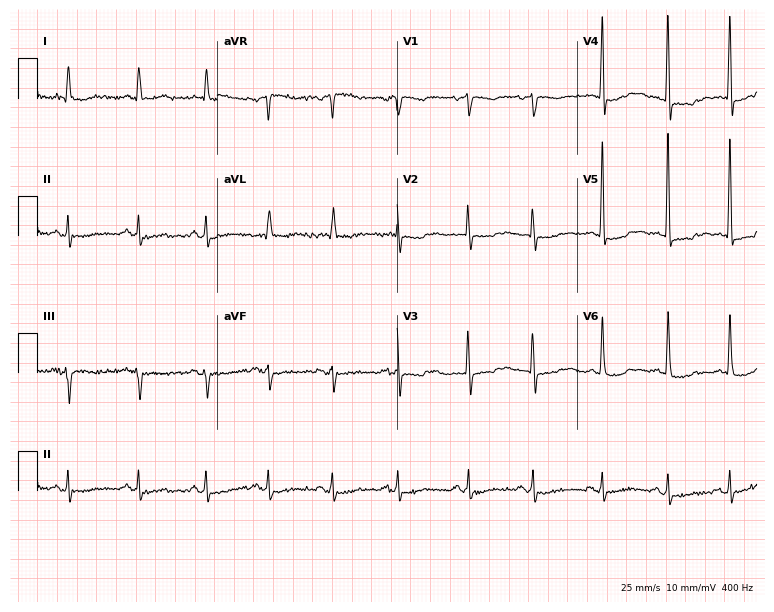
ECG — a female patient, 80 years old. Screened for six findings — first-degree AV block, right bundle branch block (RBBB), left bundle branch block (LBBB), sinus bradycardia, atrial fibrillation (AF), sinus tachycardia — none is recorded. Only these six findings were labelled.